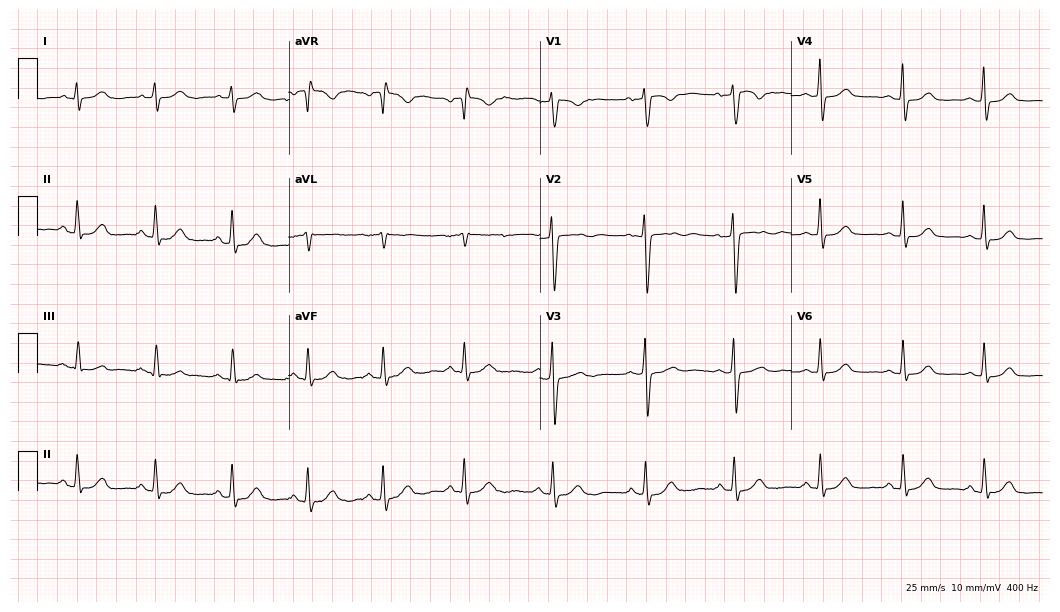
12-lead ECG from a 52-year-old woman. Recorded interpretation: within normal limits.